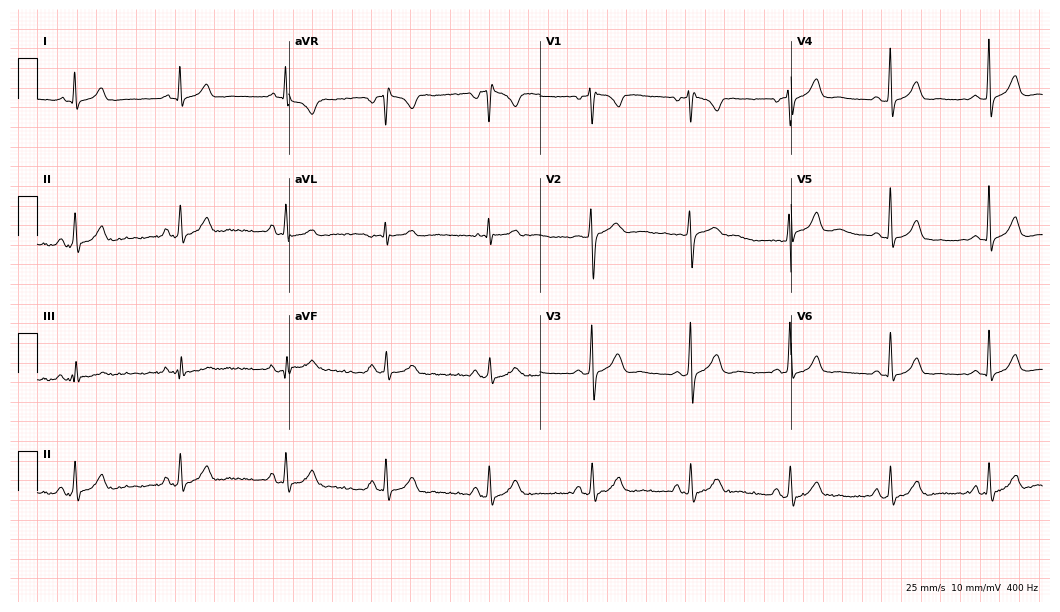
12-lead ECG from a 36-year-old female patient. Recorded interpretation: within normal limits.